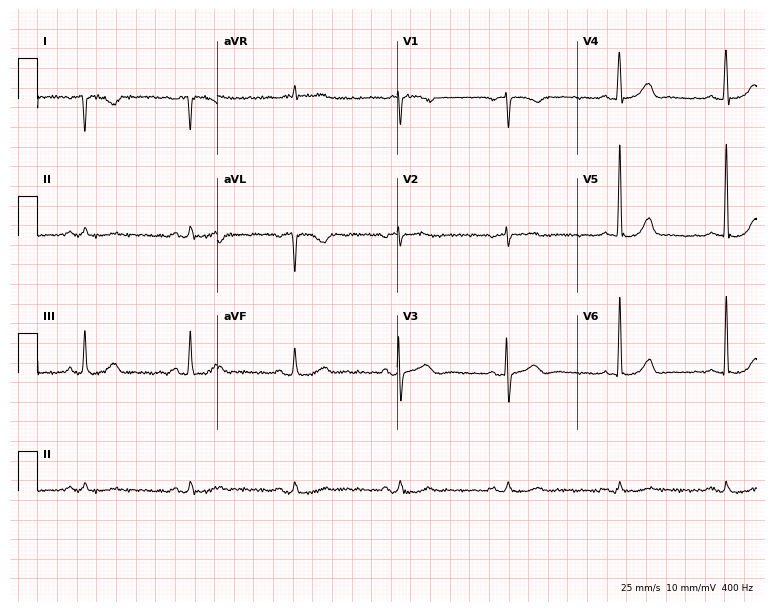
Electrocardiogram, a woman, 77 years old. Of the six screened findings (first-degree AV block, right bundle branch block (RBBB), left bundle branch block (LBBB), sinus bradycardia, atrial fibrillation (AF), sinus tachycardia), none is recorded. Findings outside these six are not listed.